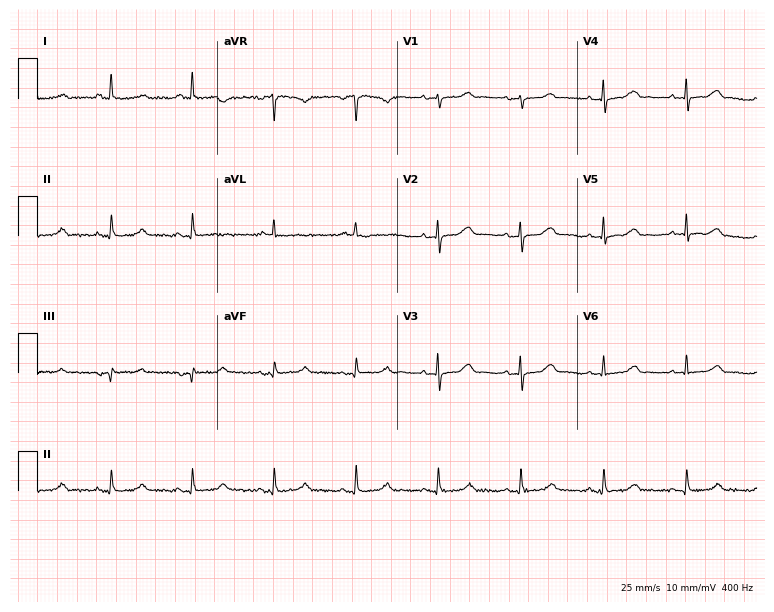
Resting 12-lead electrocardiogram. Patient: a 66-year-old female. None of these six findings is recorded: first-degree AV block, right bundle branch block (RBBB), left bundle branch block (LBBB), sinus bradycardia, atrial fibrillation (AF), sinus tachycardia.